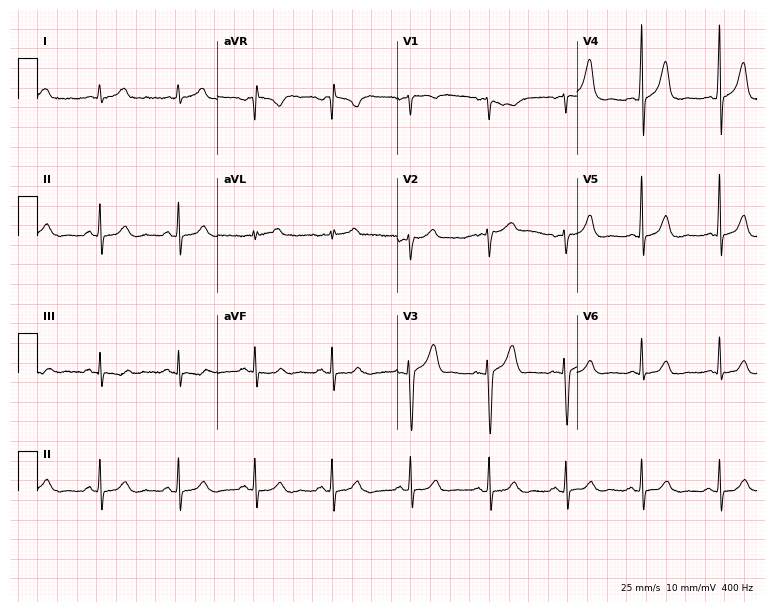
Electrocardiogram, a 45-year-old woman. Of the six screened findings (first-degree AV block, right bundle branch block (RBBB), left bundle branch block (LBBB), sinus bradycardia, atrial fibrillation (AF), sinus tachycardia), none is recorded. Findings outside these six are not listed.